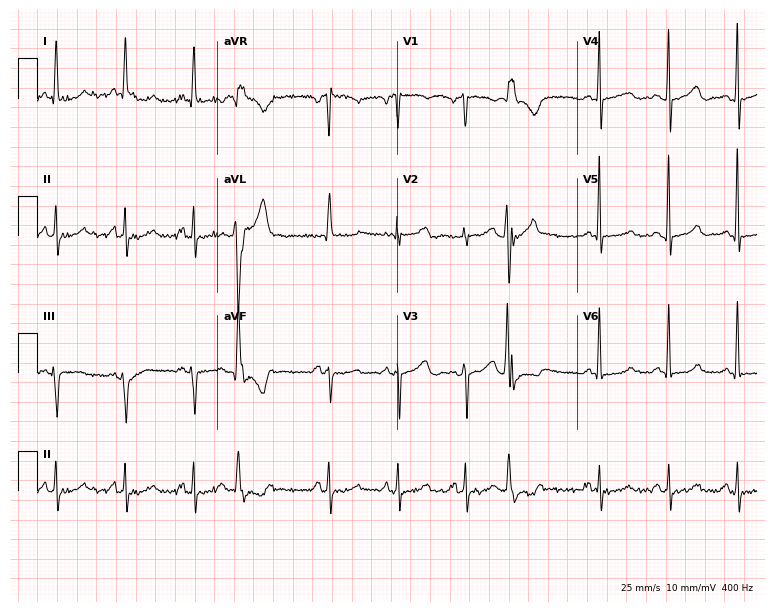
12-lead ECG from a 66-year-old female. No first-degree AV block, right bundle branch block (RBBB), left bundle branch block (LBBB), sinus bradycardia, atrial fibrillation (AF) or sinus tachycardia recorded for this tracing.